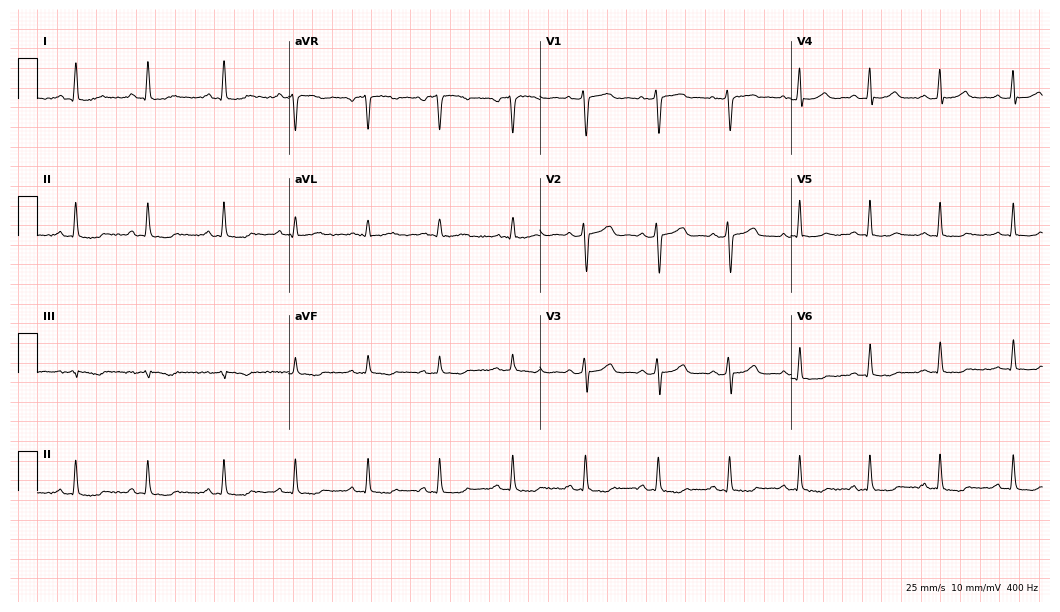
Resting 12-lead electrocardiogram. Patient: a 62-year-old woman. None of these six findings is recorded: first-degree AV block, right bundle branch block, left bundle branch block, sinus bradycardia, atrial fibrillation, sinus tachycardia. Other findings, if any, are not listed.